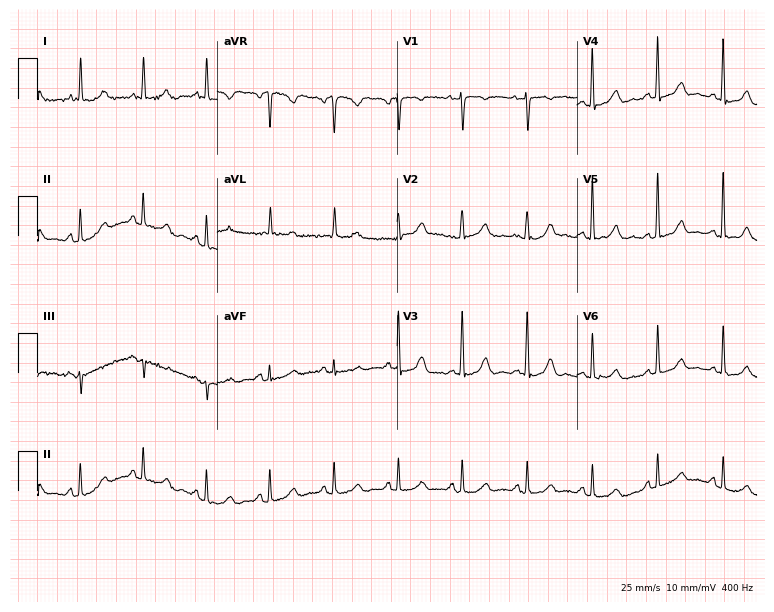
Electrocardiogram, a female, 78 years old. Overall reading on record: normal ECG.